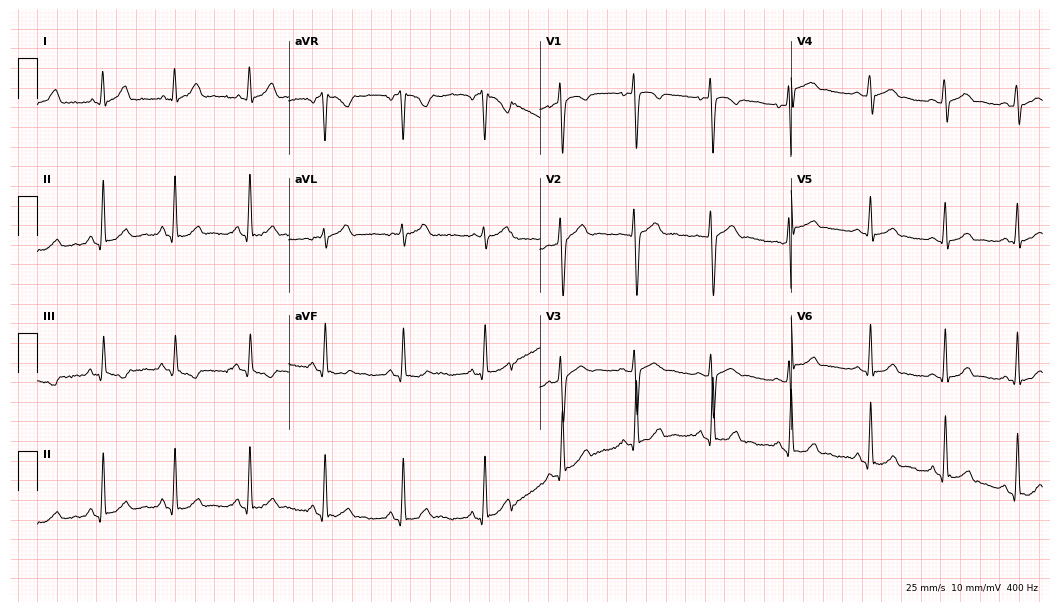
ECG (10.2-second recording at 400 Hz) — a woman, 17 years old. Labelled as a normal ECG.